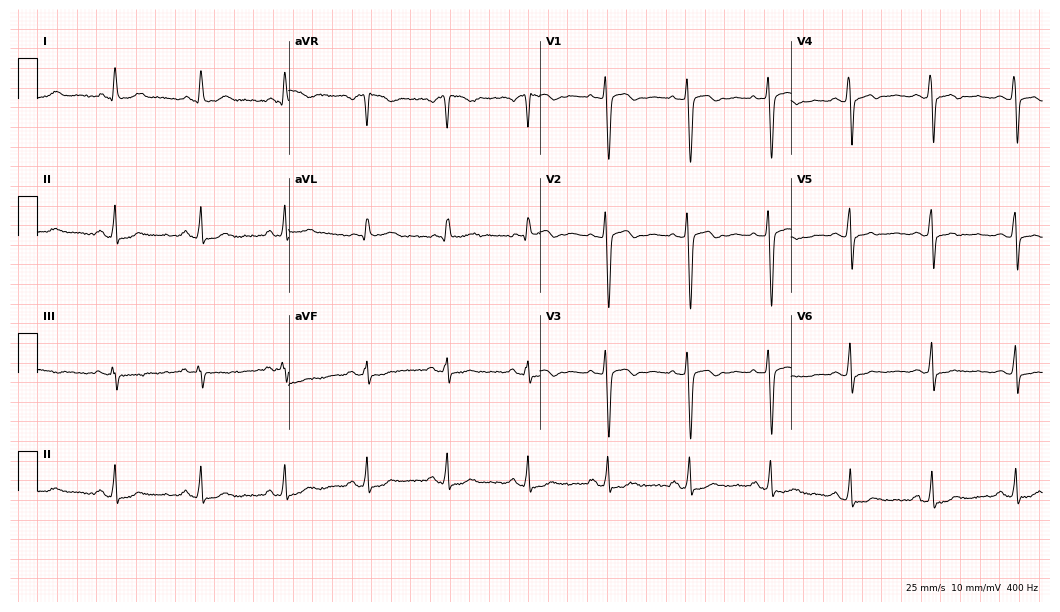
12-lead ECG from a 40-year-old female patient. No first-degree AV block, right bundle branch block (RBBB), left bundle branch block (LBBB), sinus bradycardia, atrial fibrillation (AF) or sinus tachycardia recorded for this tracing. Only these six findings were labelled.